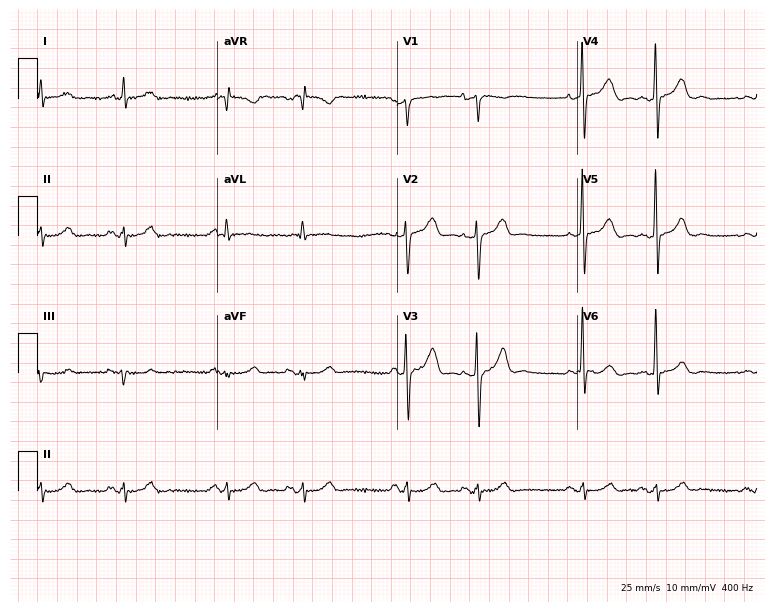
Resting 12-lead electrocardiogram. Patient: a 68-year-old male. None of these six findings is recorded: first-degree AV block, right bundle branch block, left bundle branch block, sinus bradycardia, atrial fibrillation, sinus tachycardia.